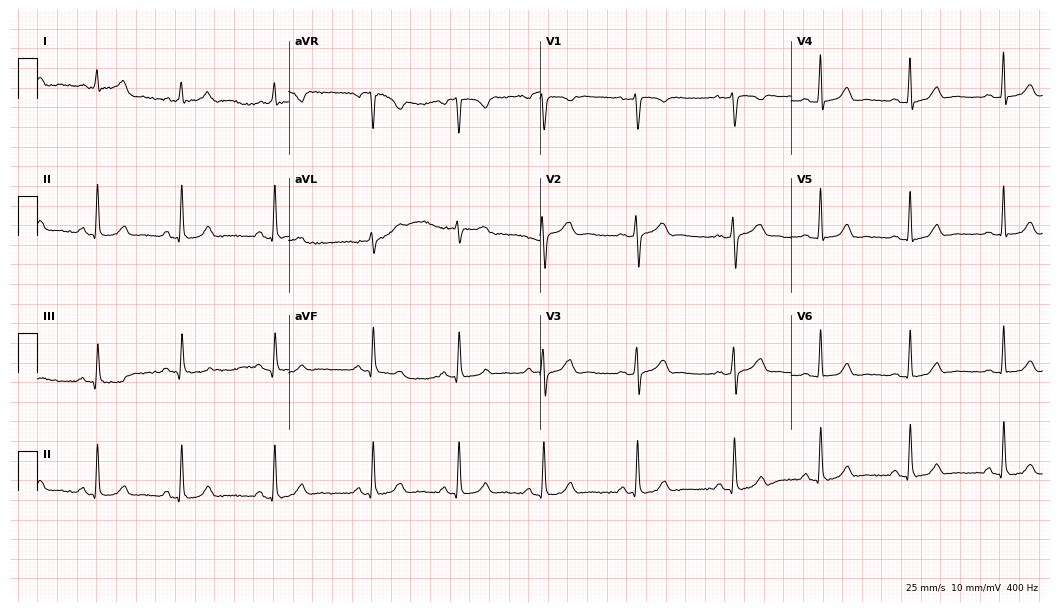
Standard 12-lead ECG recorded from a woman, 27 years old. Read as a normal ECG.